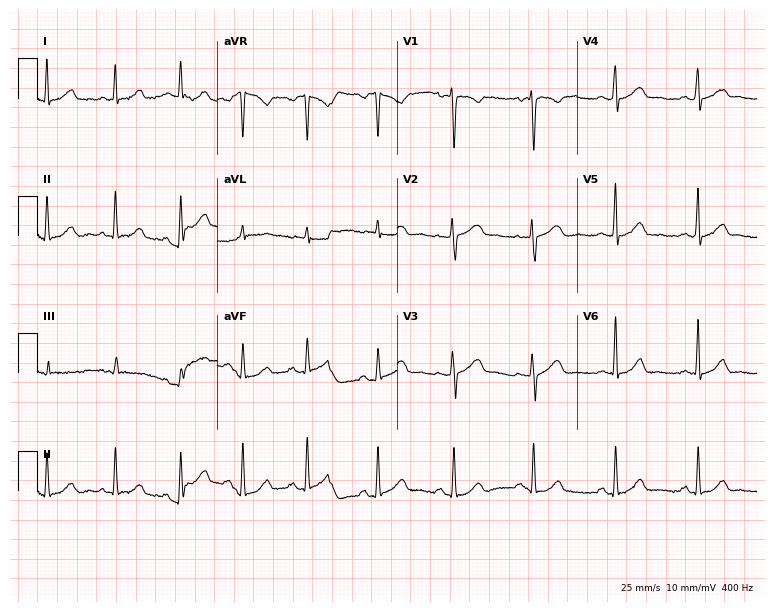
12-lead ECG (7.3-second recording at 400 Hz) from a 26-year-old woman. Labelled as a normal ECG.